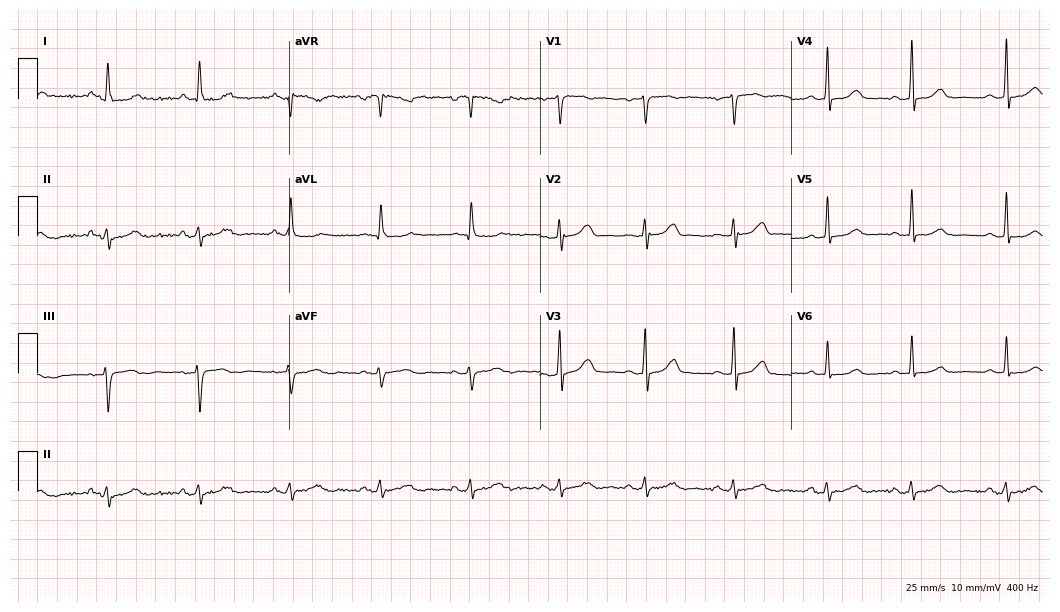
12-lead ECG from a female patient, 32 years old (10.2-second recording at 400 Hz). Recorded interpretation: within normal limits.